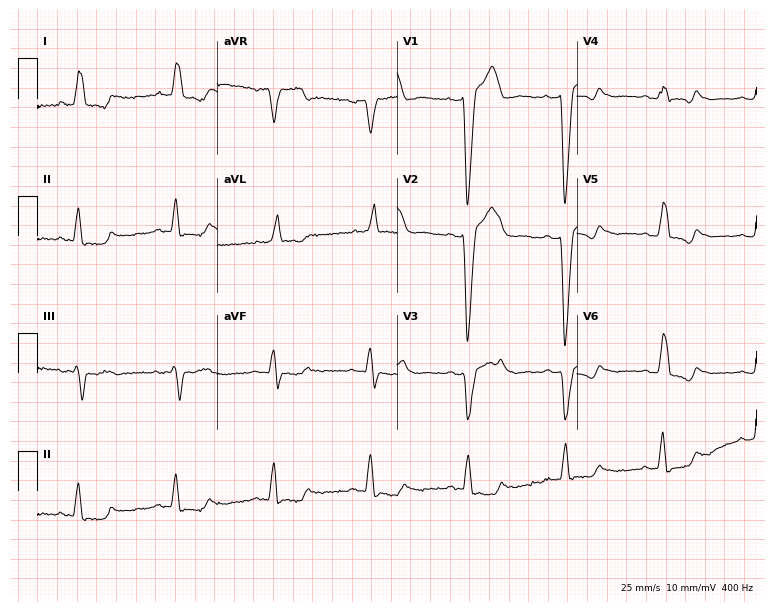
Electrocardiogram (7.3-second recording at 400 Hz), a man, 60 years old. Interpretation includes left bundle branch block.